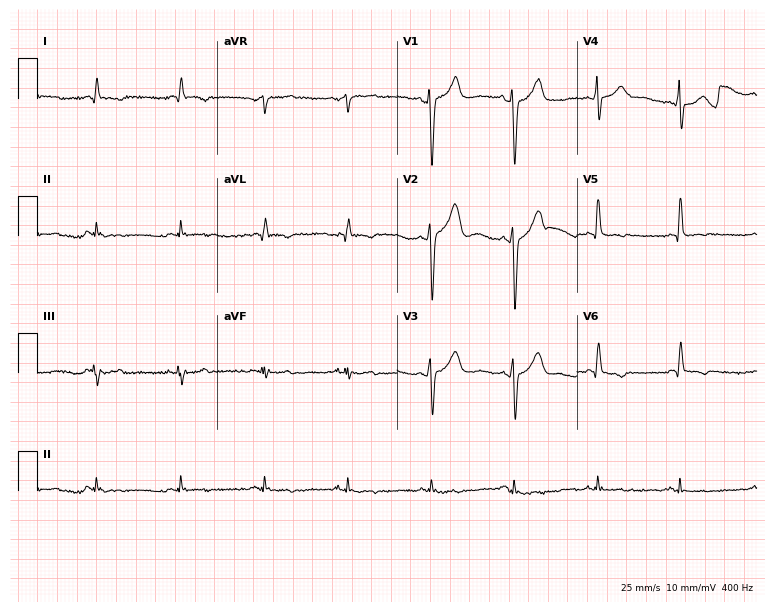
ECG (7.3-second recording at 400 Hz) — a 43-year-old male. Screened for six findings — first-degree AV block, right bundle branch block (RBBB), left bundle branch block (LBBB), sinus bradycardia, atrial fibrillation (AF), sinus tachycardia — none is recorded.